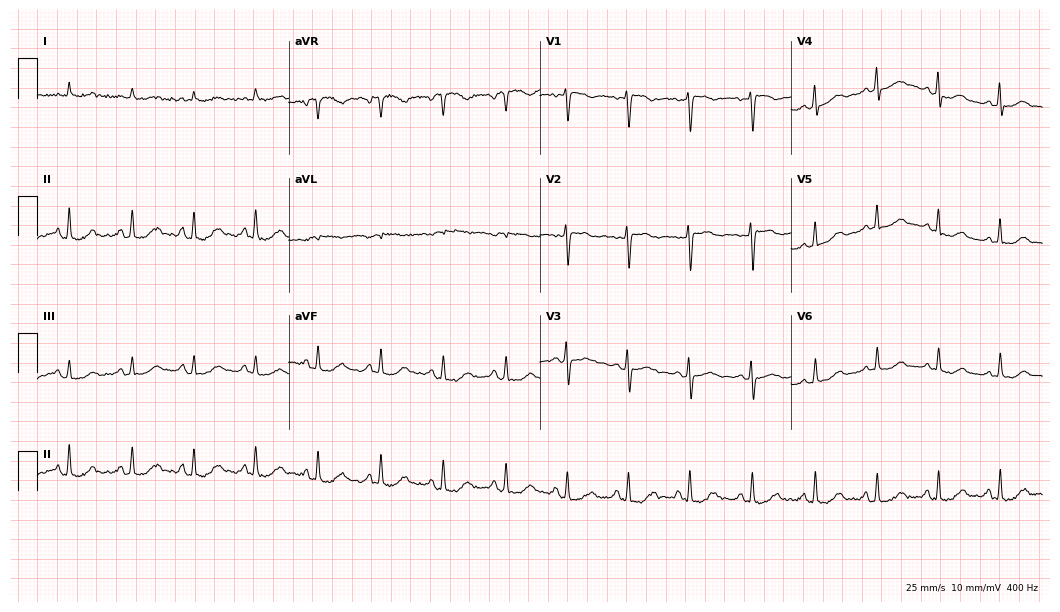
Electrocardiogram (10.2-second recording at 400 Hz), a woman, 50 years old. Overall reading on record: normal ECG.